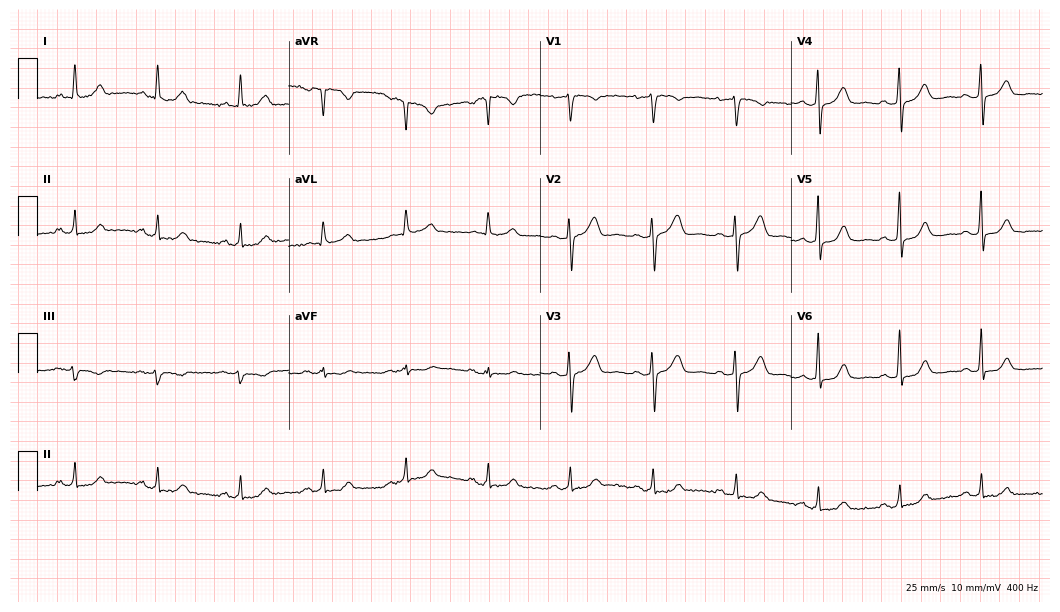
Standard 12-lead ECG recorded from a female patient, 62 years old (10.2-second recording at 400 Hz). Read as a normal ECG.